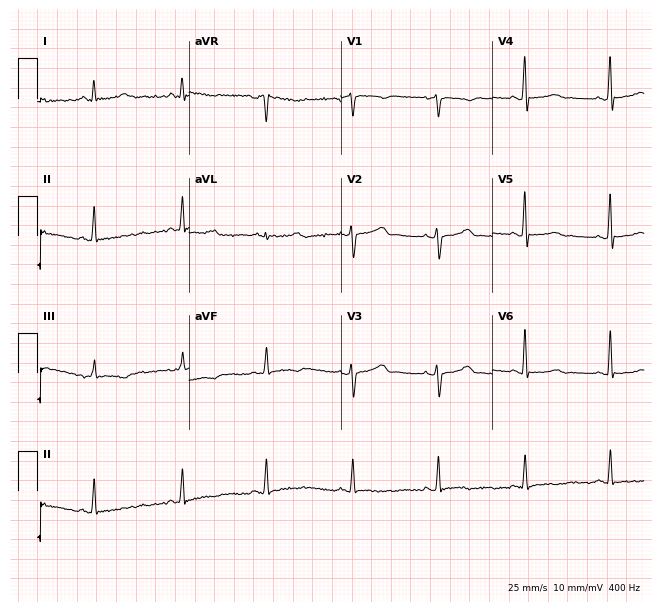
ECG — a 42-year-old woman. Screened for six findings — first-degree AV block, right bundle branch block, left bundle branch block, sinus bradycardia, atrial fibrillation, sinus tachycardia — none is recorded. Findings outside these six are not listed.